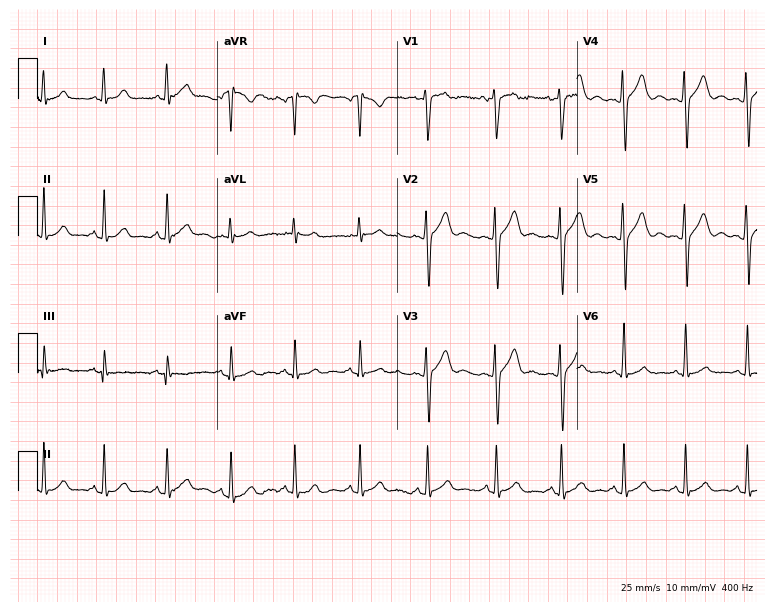
12-lead ECG (7.3-second recording at 400 Hz) from a 24-year-old male. Screened for six findings — first-degree AV block, right bundle branch block, left bundle branch block, sinus bradycardia, atrial fibrillation, sinus tachycardia — none is recorded.